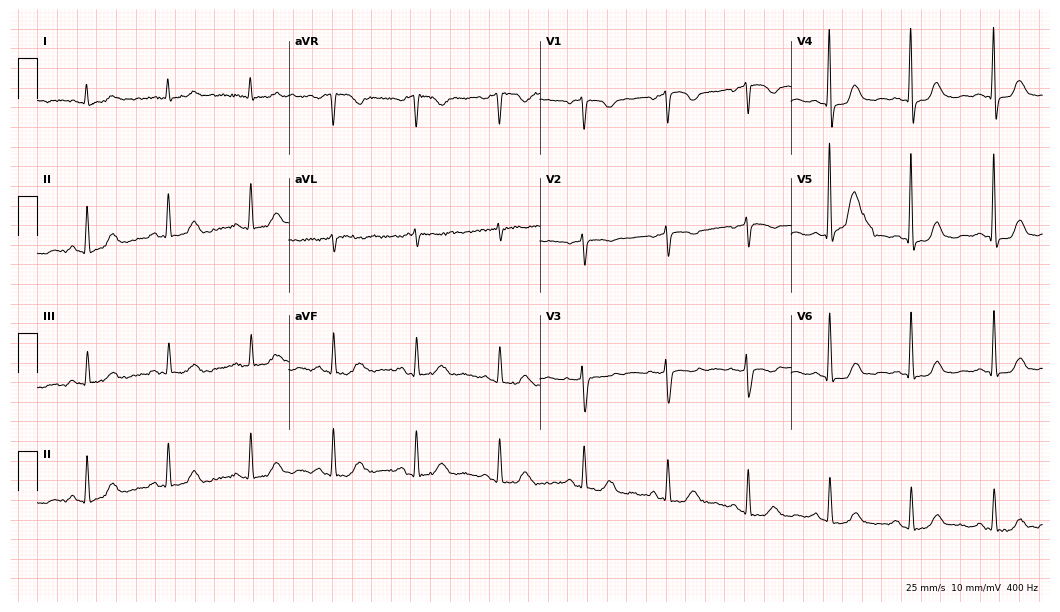
Resting 12-lead electrocardiogram. Patient: a female, 72 years old. None of these six findings is recorded: first-degree AV block, right bundle branch block, left bundle branch block, sinus bradycardia, atrial fibrillation, sinus tachycardia.